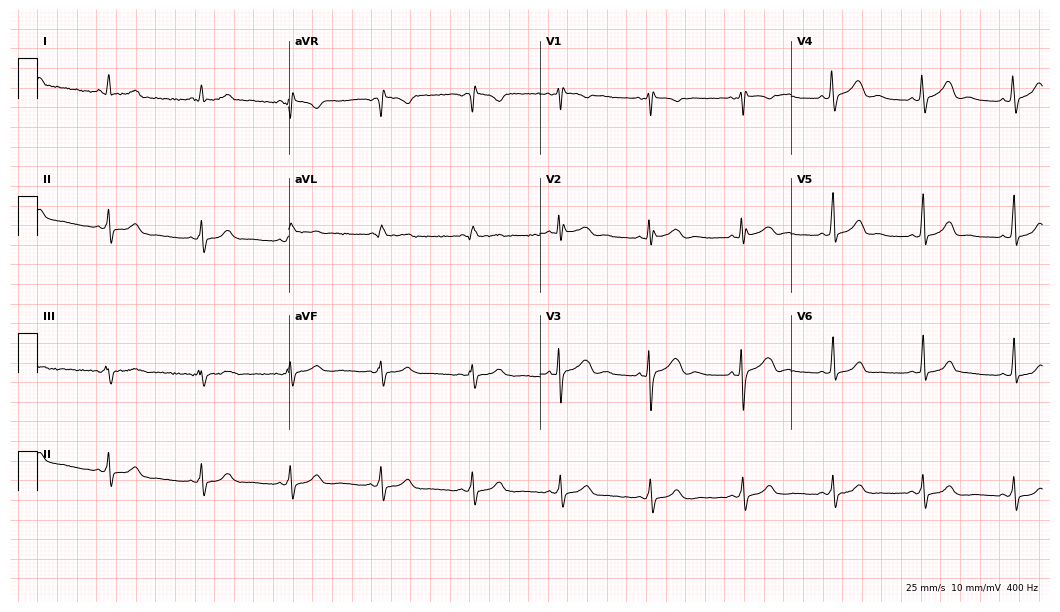
Standard 12-lead ECG recorded from a 33-year-old female (10.2-second recording at 400 Hz). None of these six findings is recorded: first-degree AV block, right bundle branch block, left bundle branch block, sinus bradycardia, atrial fibrillation, sinus tachycardia. Only these six findings were labelled.